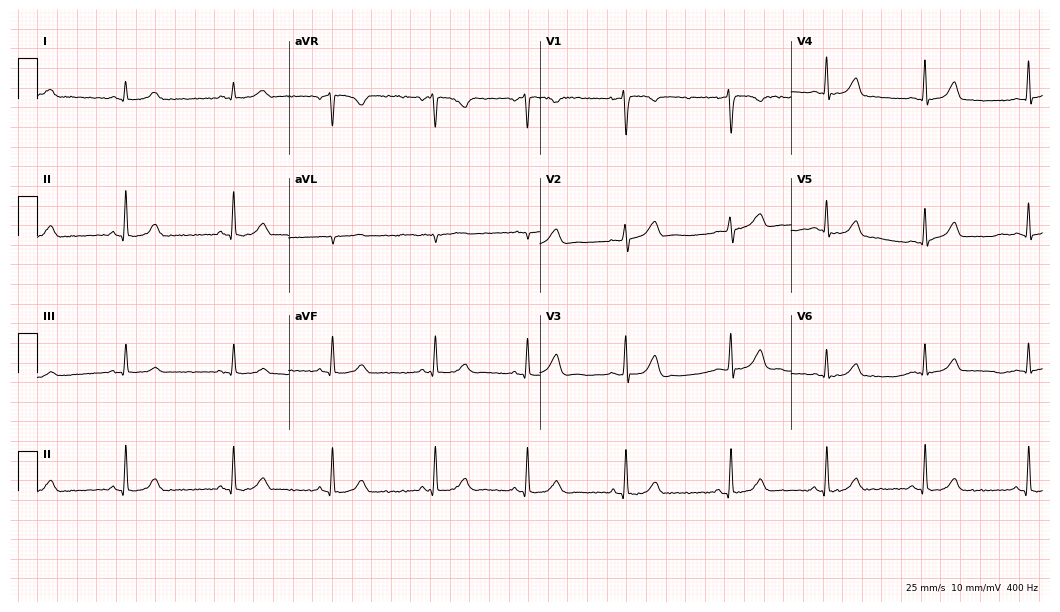
Standard 12-lead ECG recorded from a female patient, 21 years old. Read as a normal ECG.